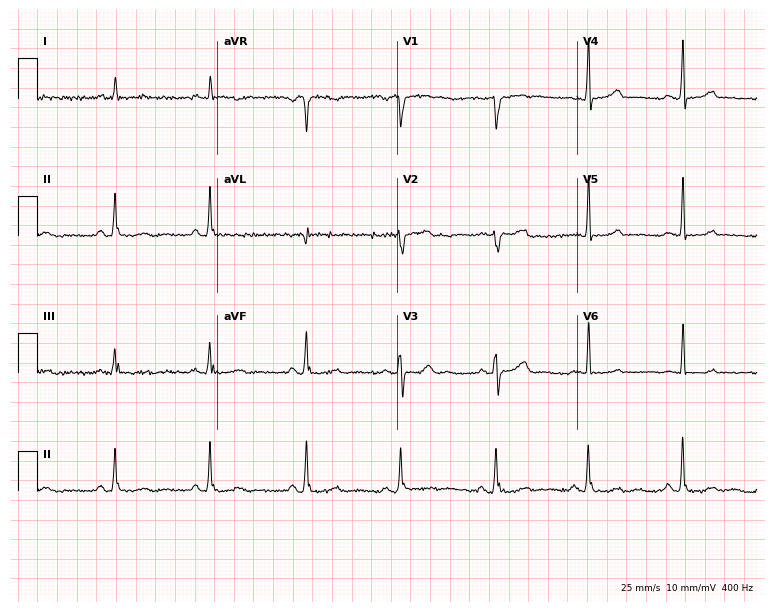
ECG (7.3-second recording at 400 Hz) — a 52-year-old male. Screened for six findings — first-degree AV block, right bundle branch block, left bundle branch block, sinus bradycardia, atrial fibrillation, sinus tachycardia — none is recorded. Other findings, if any, are not listed.